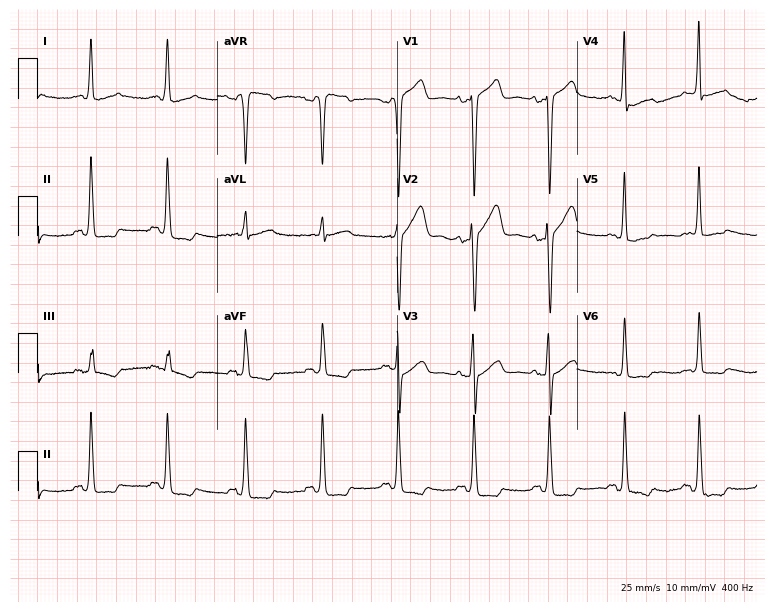
12-lead ECG from a female patient, 53 years old. No first-degree AV block, right bundle branch block, left bundle branch block, sinus bradycardia, atrial fibrillation or sinus tachycardia recorded for this tracing. Findings outside these six are not listed.